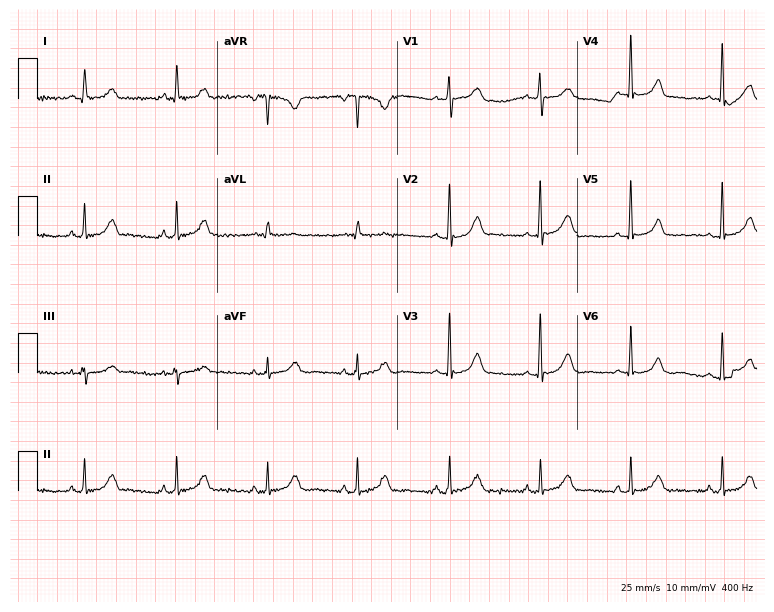
ECG (7.3-second recording at 400 Hz) — a 54-year-old woman. Labelled as a normal ECG.